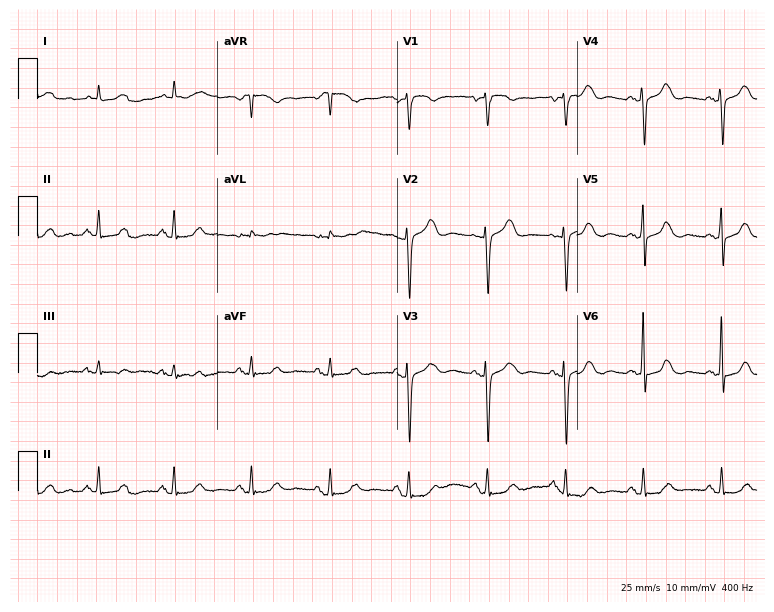
Standard 12-lead ECG recorded from a woman, 63 years old. None of these six findings is recorded: first-degree AV block, right bundle branch block (RBBB), left bundle branch block (LBBB), sinus bradycardia, atrial fibrillation (AF), sinus tachycardia. Findings outside these six are not listed.